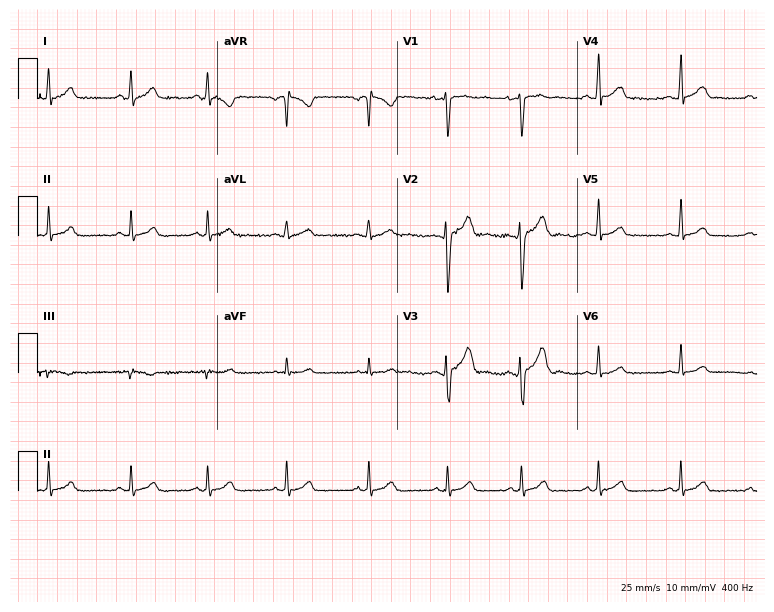
Resting 12-lead electrocardiogram. Patient: a man, 21 years old. Read as a normal ECG.